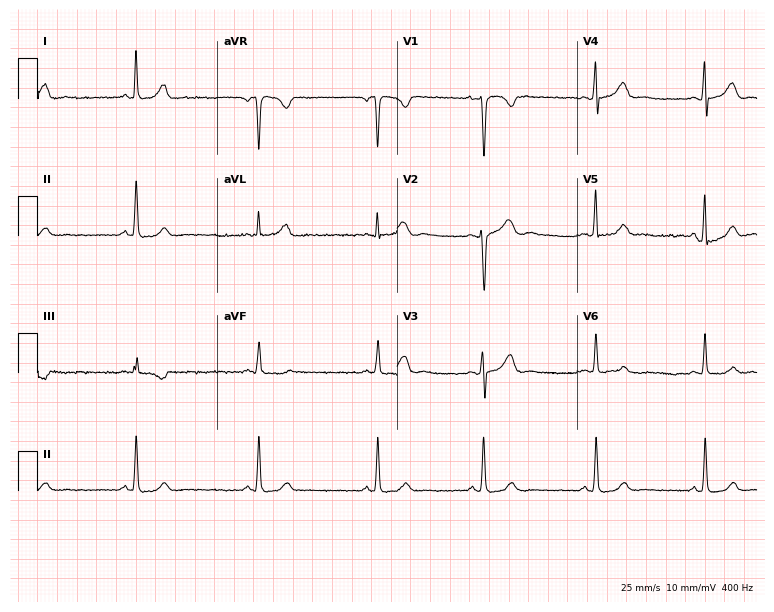
12-lead ECG from a female, 25 years old. Recorded interpretation: within normal limits.